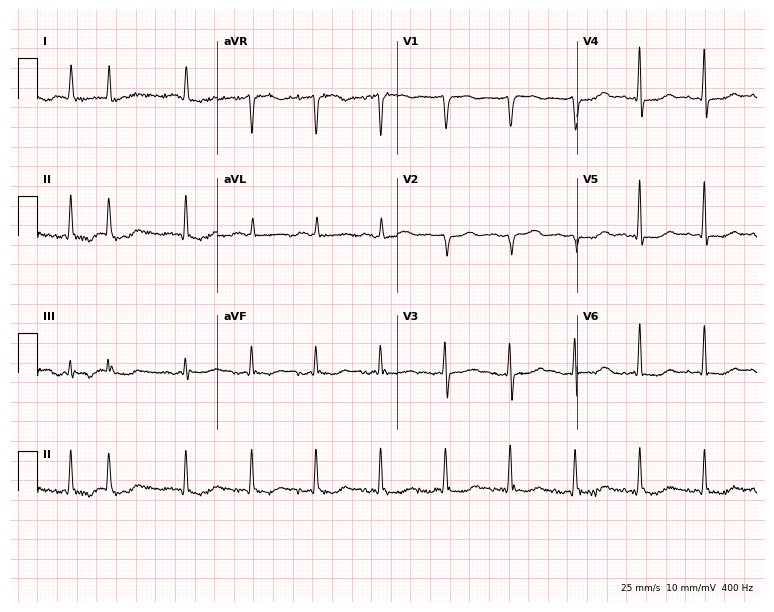
12-lead ECG (7.3-second recording at 400 Hz) from a 63-year-old woman. Screened for six findings — first-degree AV block, right bundle branch block, left bundle branch block, sinus bradycardia, atrial fibrillation, sinus tachycardia — none is recorded. Findings outside these six are not listed.